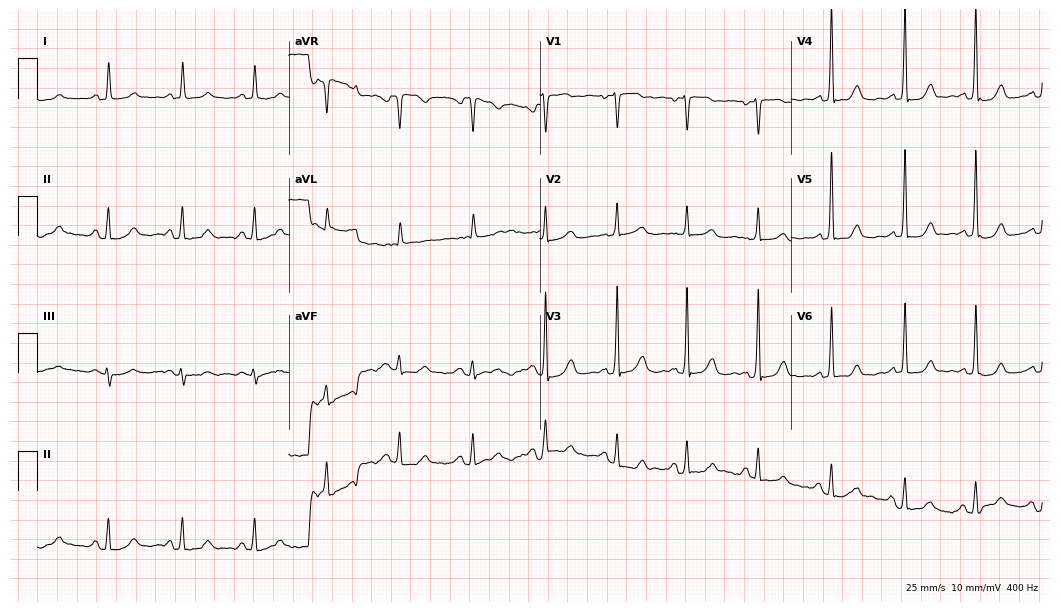
12-lead ECG (10.2-second recording at 400 Hz) from a female patient, 67 years old. Labelled as a normal ECG.